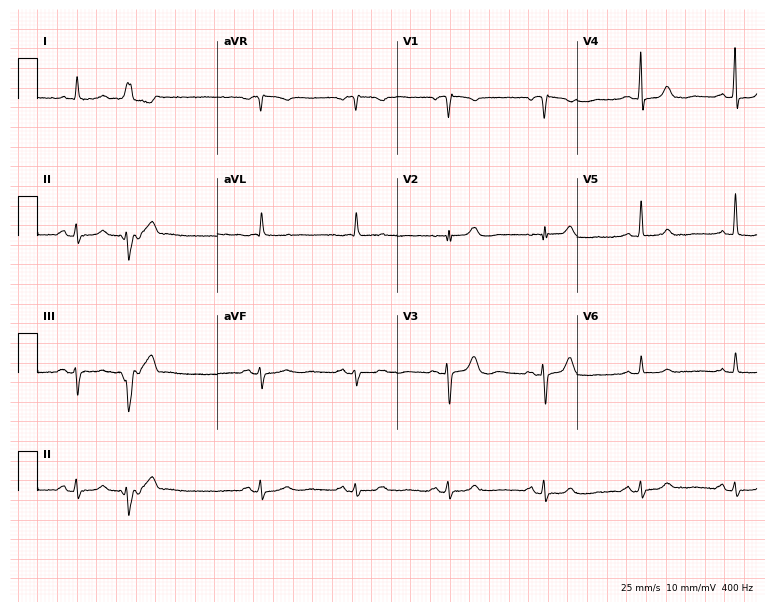
Electrocardiogram (7.3-second recording at 400 Hz), an 86-year-old woman. Overall reading on record: normal ECG.